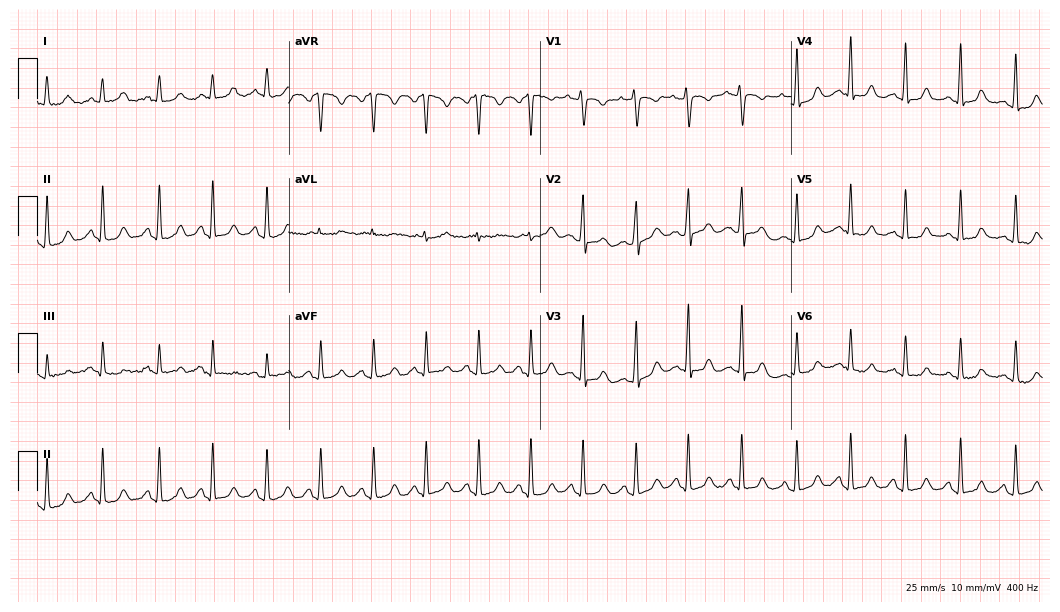
ECG (10.2-second recording at 400 Hz) — a female patient, 21 years old. Findings include sinus tachycardia (a sinus rate of 100 beats per minute or more).